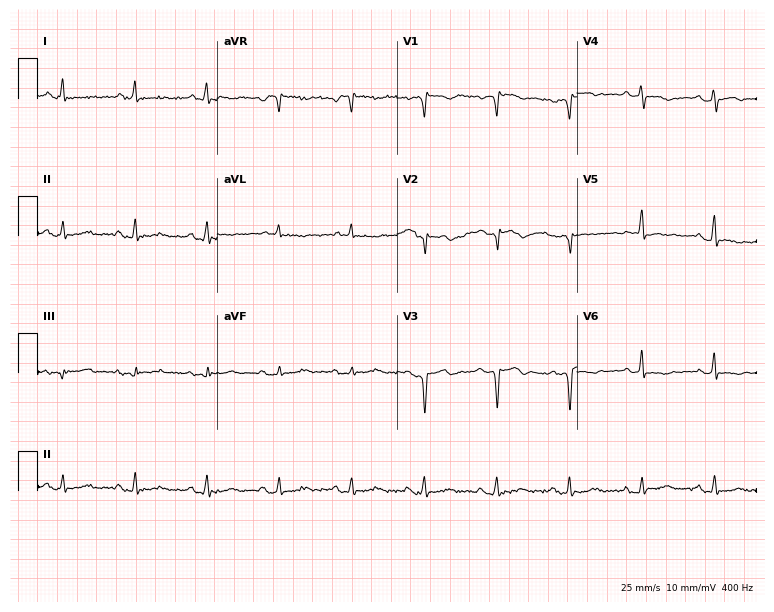
12-lead ECG from a 54-year-old female patient (7.3-second recording at 400 Hz). No first-degree AV block, right bundle branch block, left bundle branch block, sinus bradycardia, atrial fibrillation or sinus tachycardia recorded for this tracing. Findings outside these six are not listed.